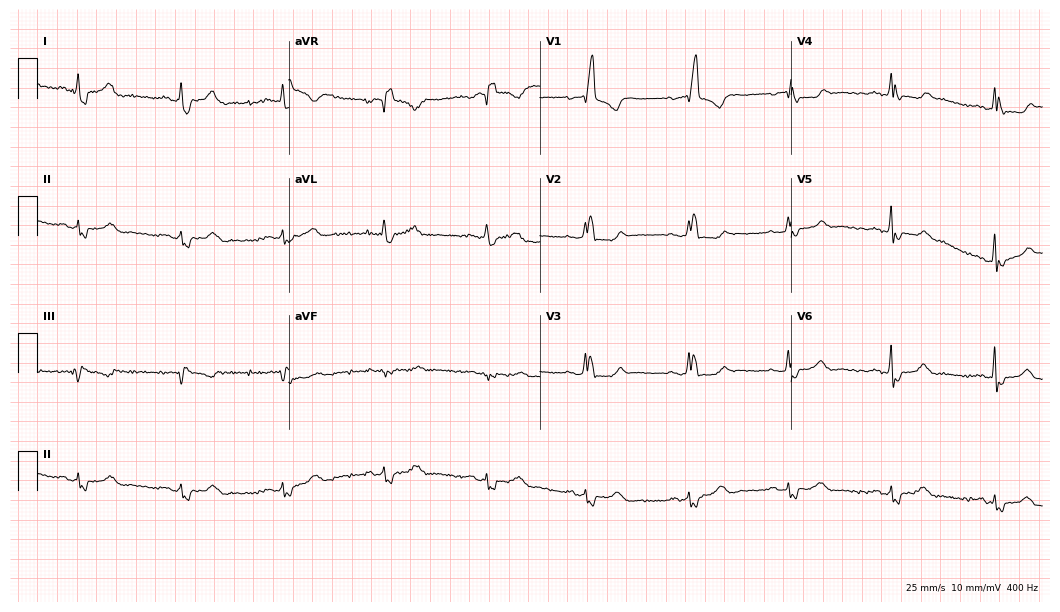
Standard 12-lead ECG recorded from a 71-year-old woman. The tracing shows right bundle branch block.